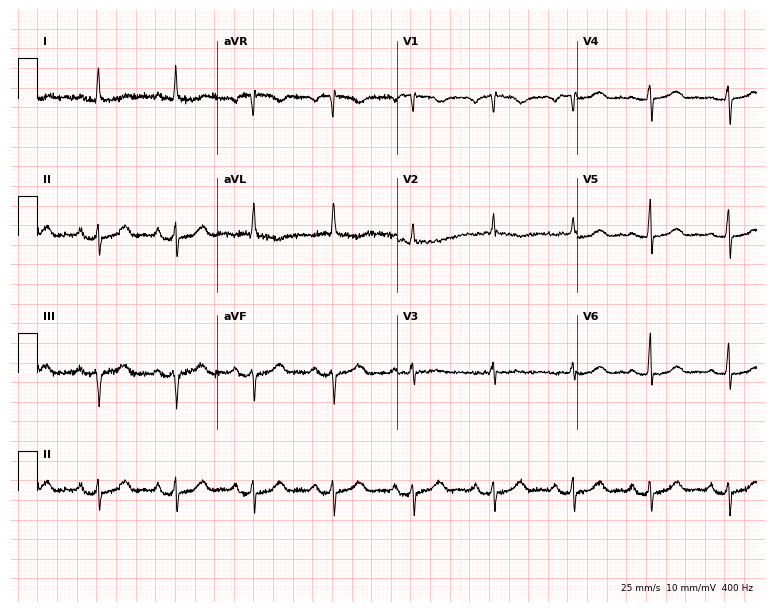
Standard 12-lead ECG recorded from a woman, 73 years old. None of these six findings is recorded: first-degree AV block, right bundle branch block, left bundle branch block, sinus bradycardia, atrial fibrillation, sinus tachycardia.